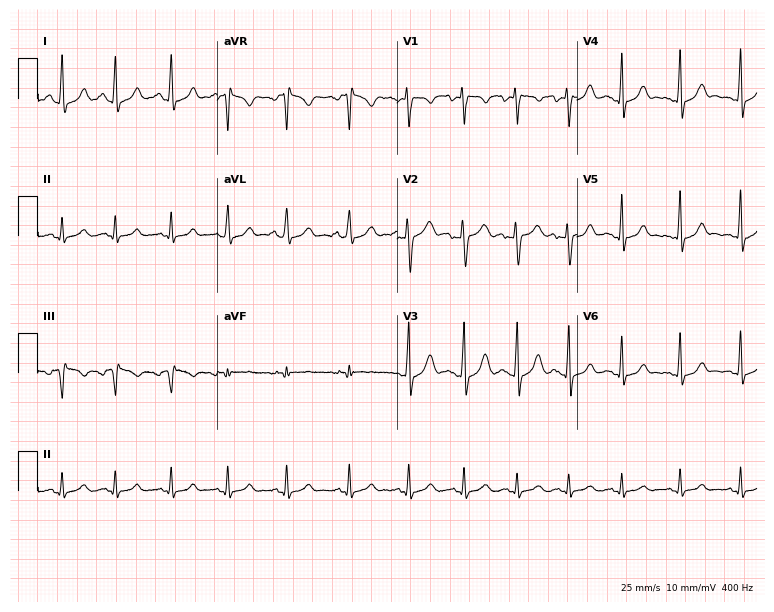
12-lead ECG (7.3-second recording at 400 Hz) from a female patient, 19 years old. Screened for six findings — first-degree AV block, right bundle branch block, left bundle branch block, sinus bradycardia, atrial fibrillation, sinus tachycardia — none is recorded.